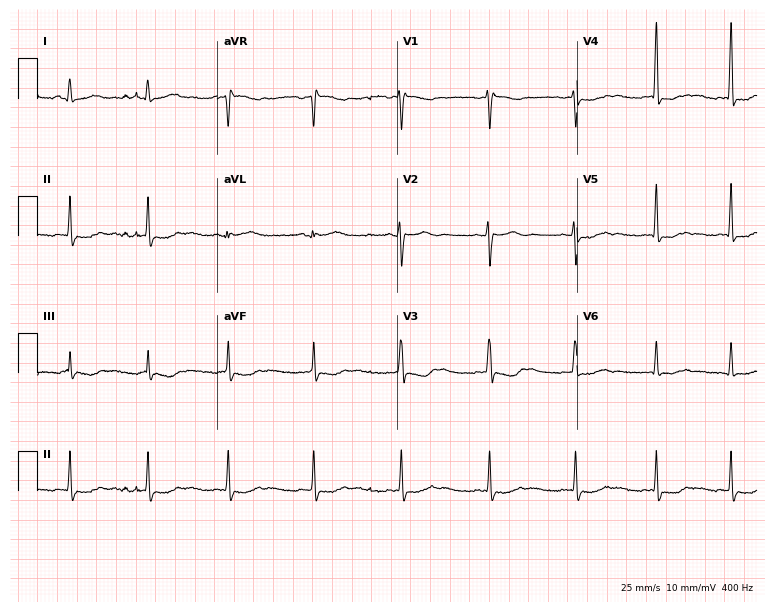
ECG (7.3-second recording at 400 Hz) — a 30-year-old female. Screened for six findings — first-degree AV block, right bundle branch block (RBBB), left bundle branch block (LBBB), sinus bradycardia, atrial fibrillation (AF), sinus tachycardia — none is recorded. Findings outside these six are not listed.